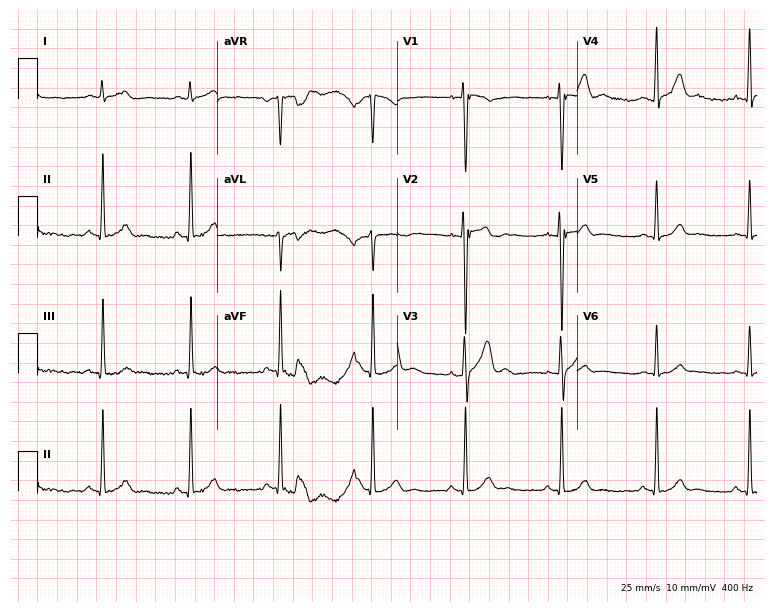
ECG (7.3-second recording at 400 Hz) — a man, 25 years old. Labelled as a normal ECG.